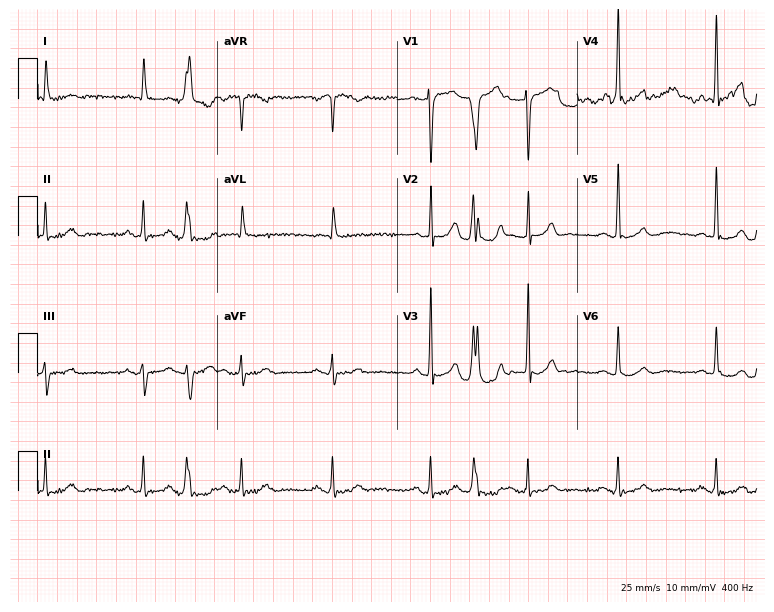
12-lead ECG from a male patient, 79 years old (7.3-second recording at 400 Hz). Shows first-degree AV block.